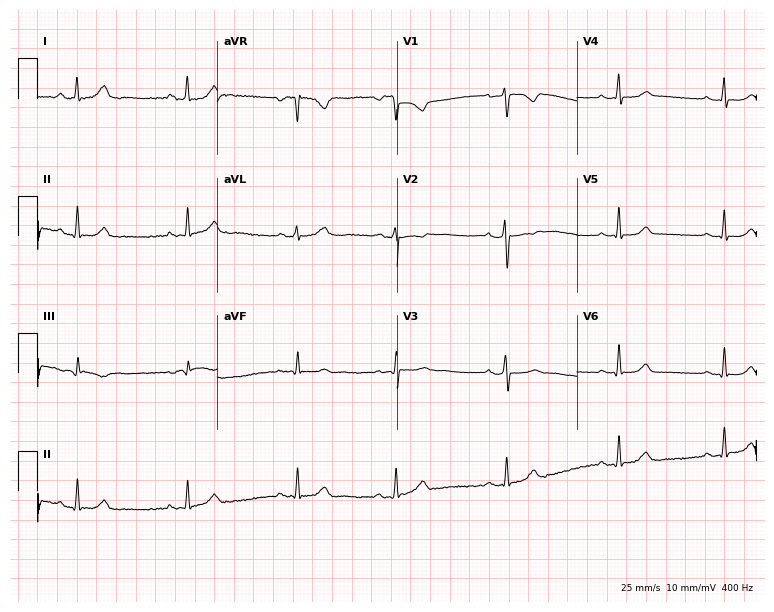
Resting 12-lead electrocardiogram. Patient: a female, 38 years old. None of these six findings is recorded: first-degree AV block, right bundle branch block (RBBB), left bundle branch block (LBBB), sinus bradycardia, atrial fibrillation (AF), sinus tachycardia. Only these six findings were labelled.